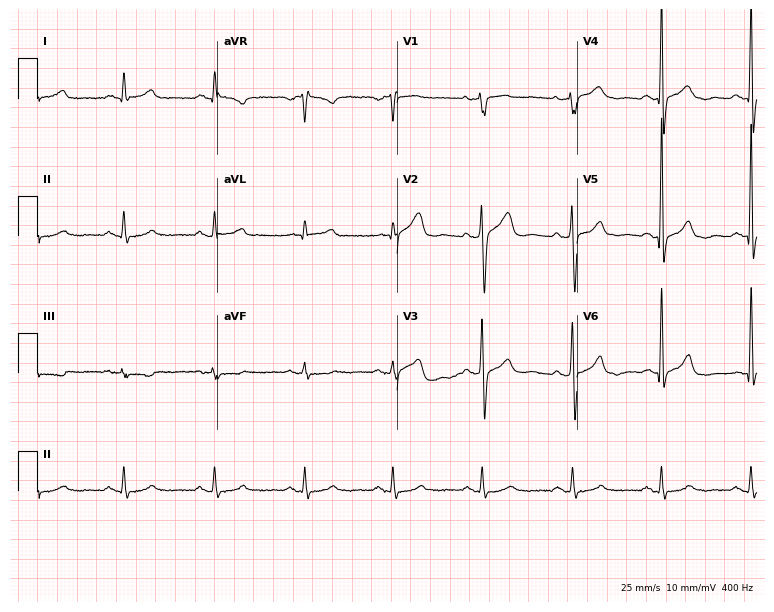
Electrocardiogram (7.3-second recording at 400 Hz), a 66-year-old man. Of the six screened findings (first-degree AV block, right bundle branch block, left bundle branch block, sinus bradycardia, atrial fibrillation, sinus tachycardia), none is recorded.